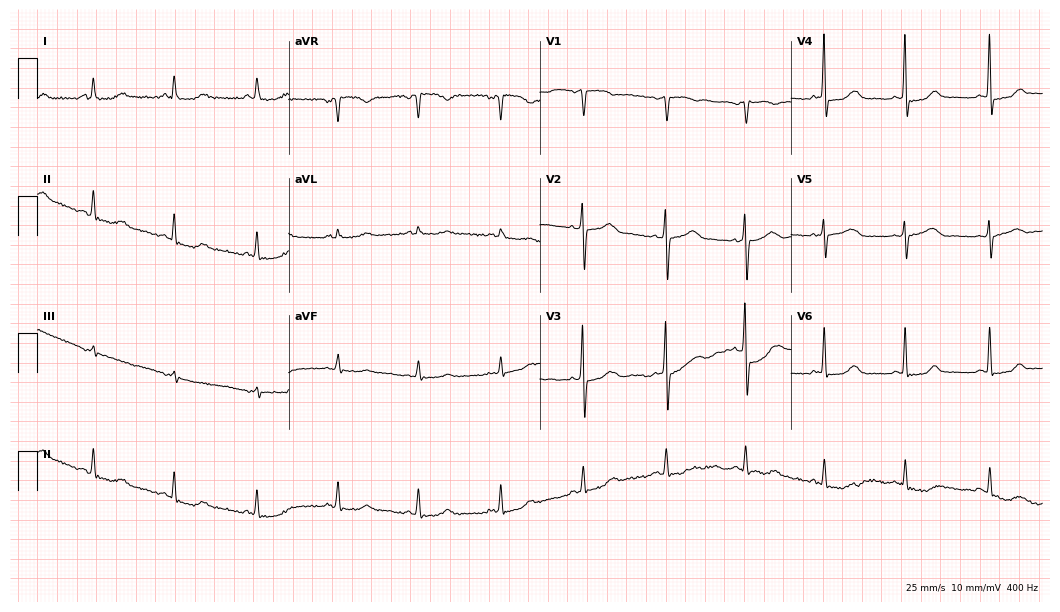
Electrocardiogram (10.2-second recording at 400 Hz), a woman, 62 years old. Overall reading on record: normal ECG.